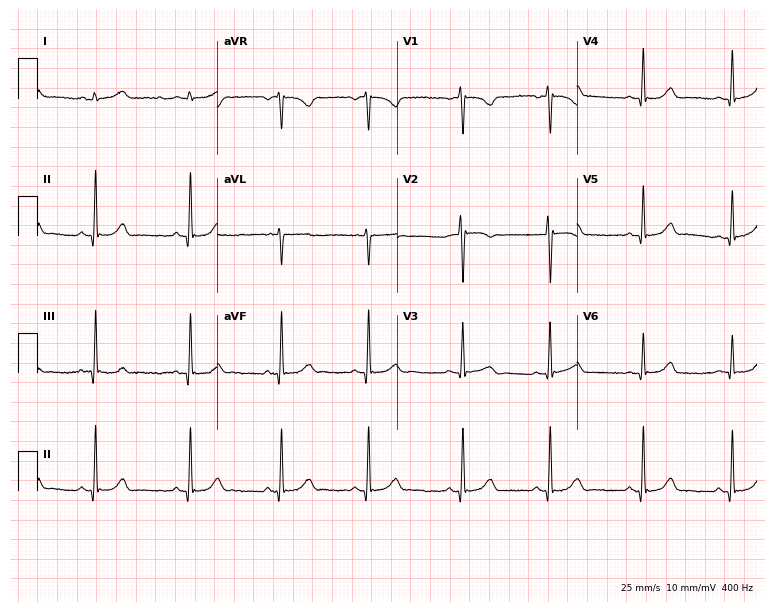
Electrocardiogram (7.3-second recording at 400 Hz), a 22-year-old woman. Overall reading on record: normal ECG.